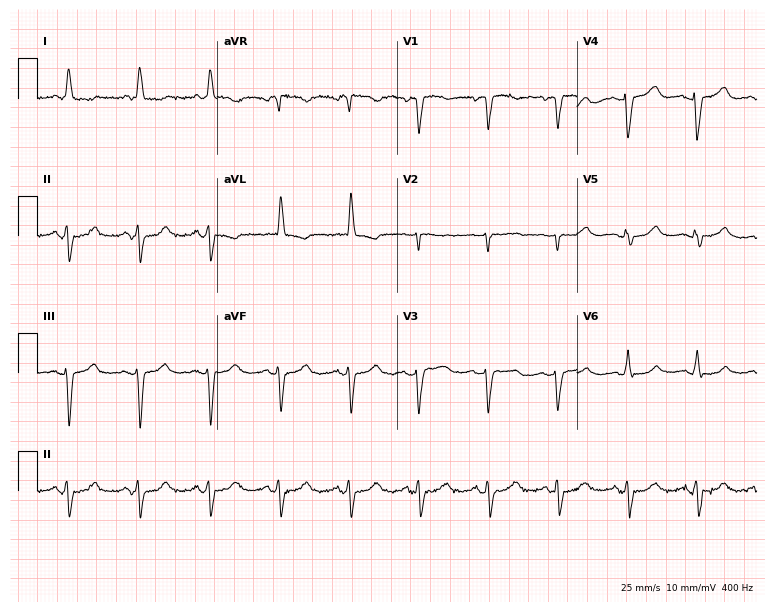
ECG (7.3-second recording at 400 Hz) — a female patient, 70 years old. Screened for six findings — first-degree AV block, right bundle branch block, left bundle branch block, sinus bradycardia, atrial fibrillation, sinus tachycardia — none is recorded.